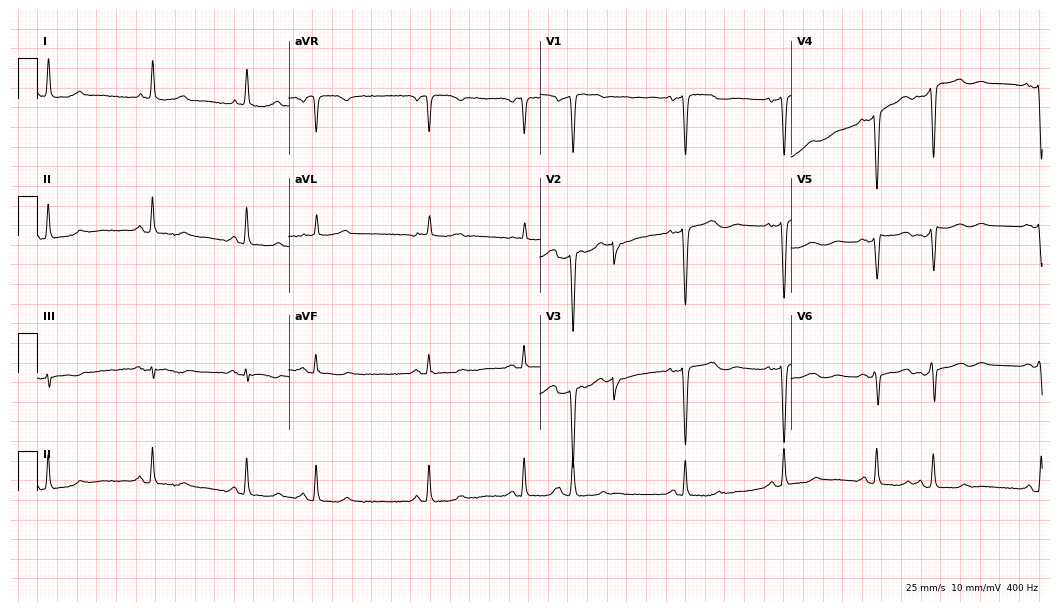
Electrocardiogram, a woman, 79 years old. Of the six screened findings (first-degree AV block, right bundle branch block (RBBB), left bundle branch block (LBBB), sinus bradycardia, atrial fibrillation (AF), sinus tachycardia), none is recorded.